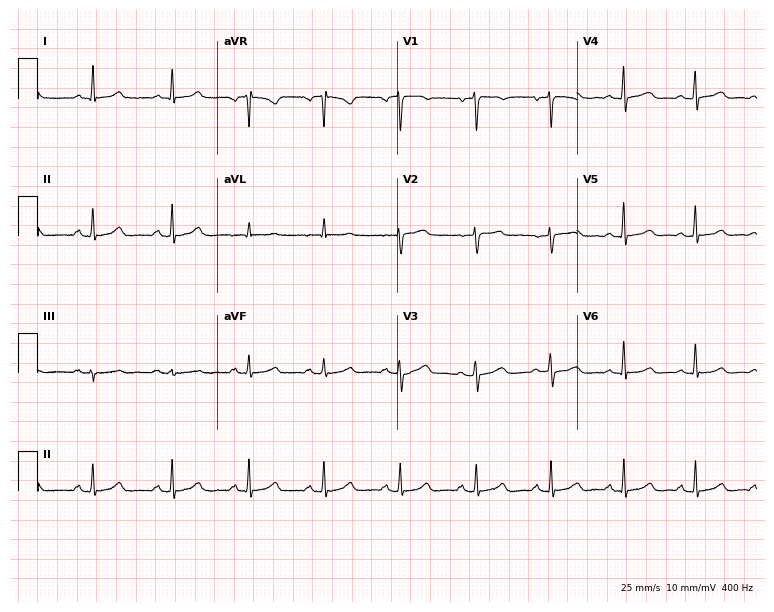
ECG (7.3-second recording at 400 Hz) — a 53-year-old woman. Labelled as a normal ECG.